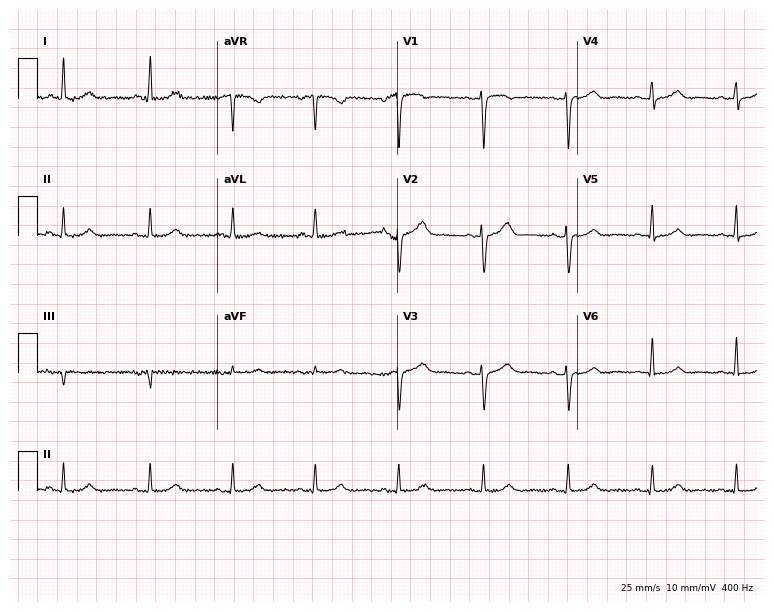
Resting 12-lead electrocardiogram. Patient: a 46-year-old woman. None of these six findings is recorded: first-degree AV block, right bundle branch block (RBBB), left bundle branch block (LBBB), sinus bradycardia, atrial fibrillation (AF), sinus tachycardia. Other findings, if any, are not listed.